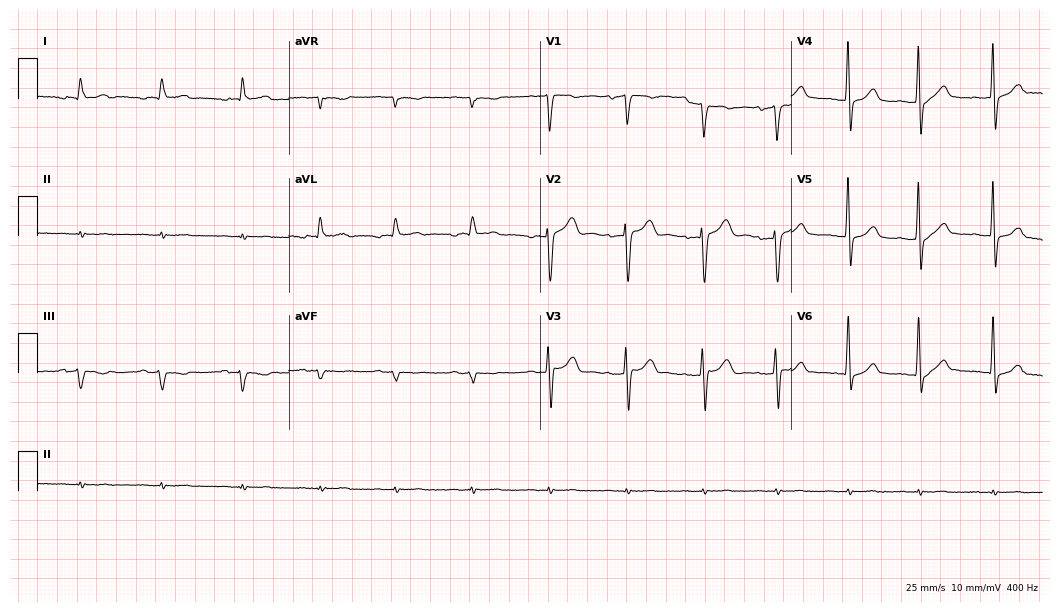
12-lead ECG from a 60-year-old male patient (10.2-second recording at 400 Hz). No first-degree AV block, right bundle branch block, left bundle branch block, sinus bradycardia, atrial fibrillation or sinus tachycardia recorded for this tracing. Only these six findings were labelled.